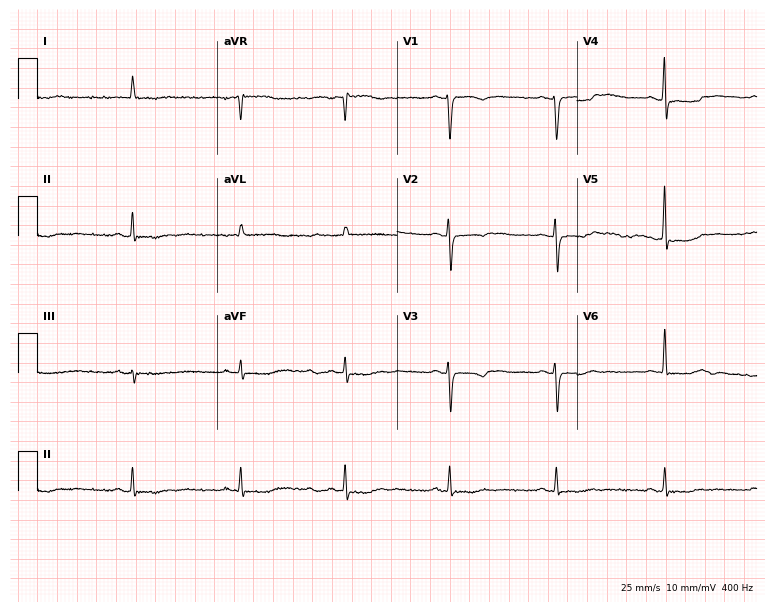
12-lead ECG from a woman, 63 years old. Screened for six findings — first-degree AV block, right bundle branch block, left bundle branch block, sinus bradycardia, atrial fibrillation, sinus tachycardia — none is recorded.